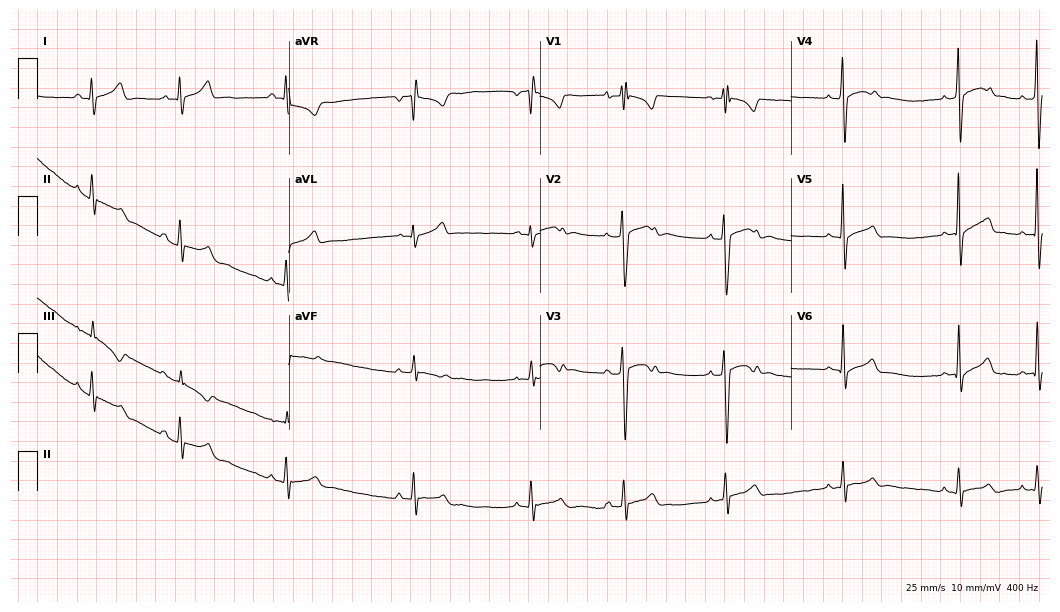
12-lead ECG from a man, 17 years old. Labelled as a normal ECG.